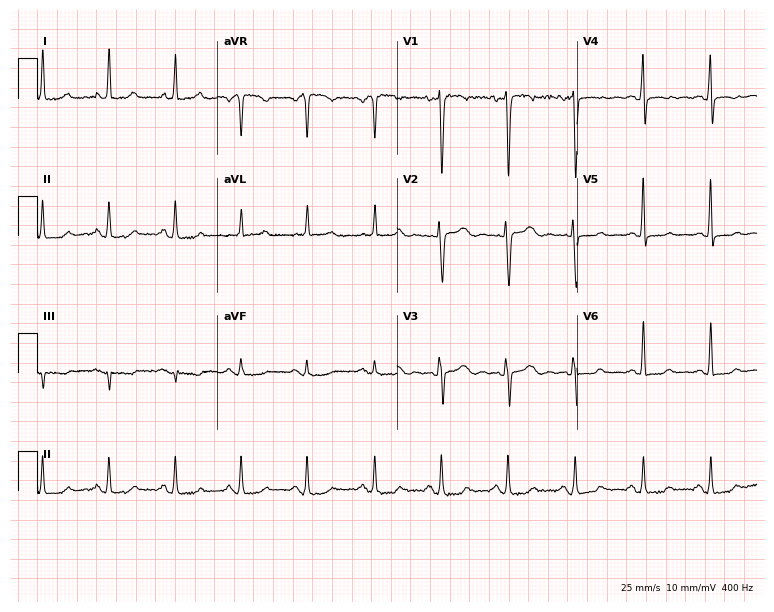
ECG (7.3-second recording at 400 Hz) — a 74-year-old female patient. Screened for six findings — first-degree AV block, right bundle branch block, left bundle branch block, sinus bradycardia, atrial fibrillation, sinus tachycardia — none is recorded. Other findings, if any, are not listed.